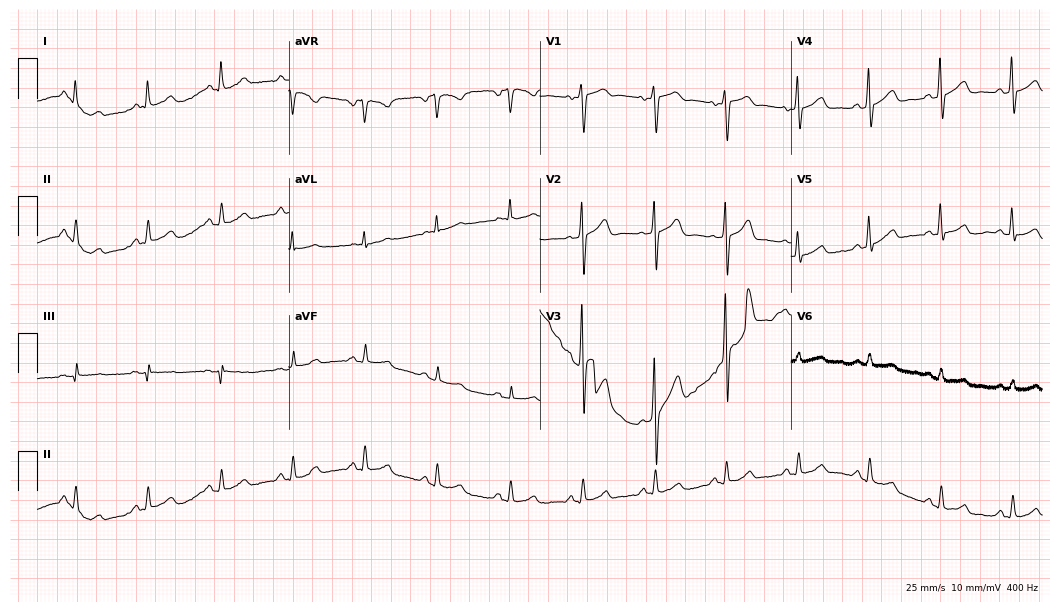
Standard 12-lead ECG recorded from a man, 51 years old (10.2-second recording at 400 Hz). Read as a normal ECG.